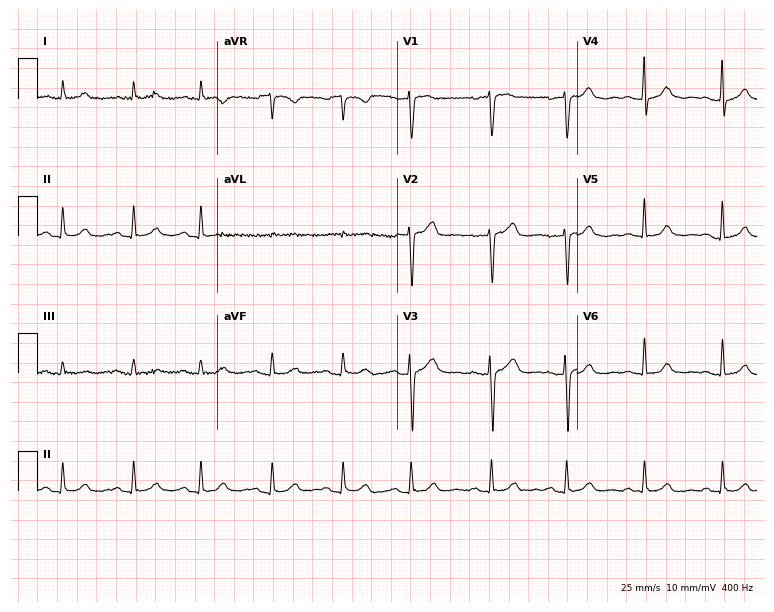
Electrocardiogram, a woman, 58 years old. Of the six screened findings (first-degree AV block, right bundle branch block, left bundle branch block, sinus bradycardia, atrial fibrillation, sinus tachycardia), none is recorded.